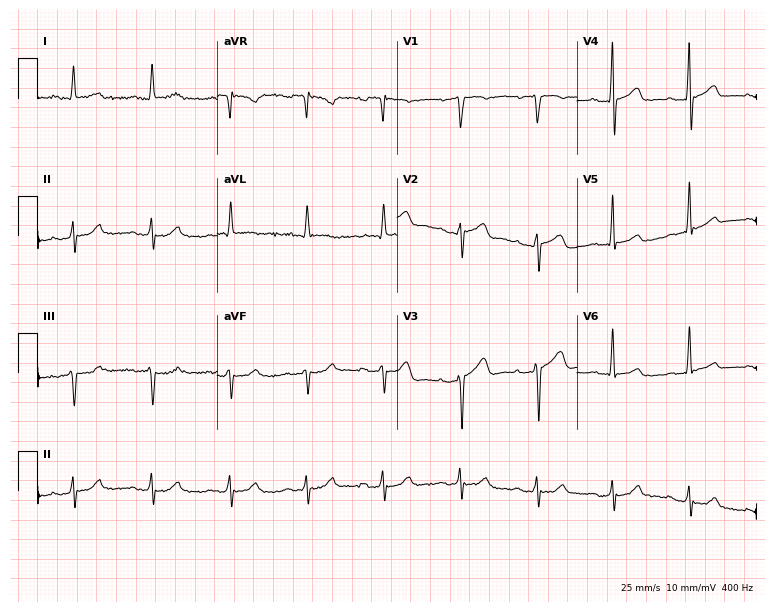
Standard 12-lead ECG recorded from a 62-year-old woman. None of these six findings is recorded: first-degree AV block, right bundle branch block (RBBB), left bundle branch block (LBBB), sinus bradycardia, atrial fibrillation (AF), sinus tachycardia. Other findings, if any, are not listed.